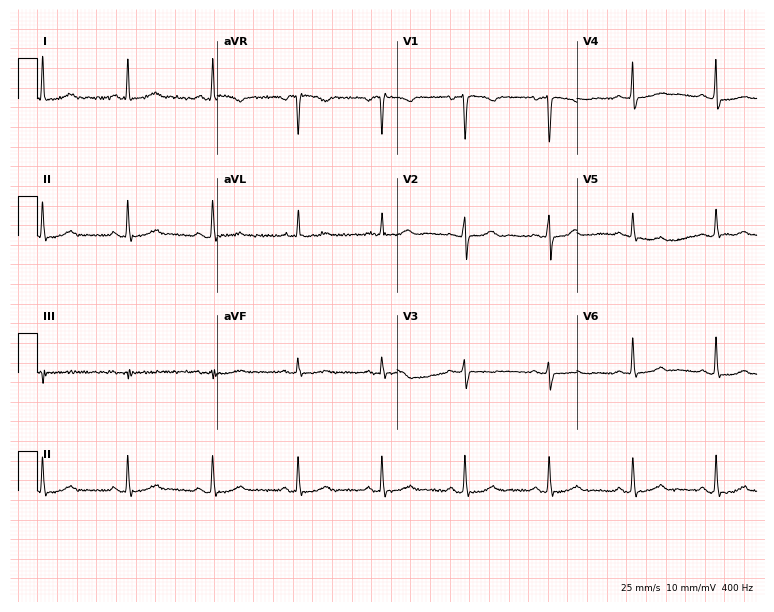
12-lead ECG from a woman, 70 years old. No first-degree AV block, right bundle branch block (RBBB), left bundle branch block (LBBB), sinus bradycardia, atrial fibrillation (AF) or sinus tachycardia recorded for this tracing. Other findings, if any, are not listed.